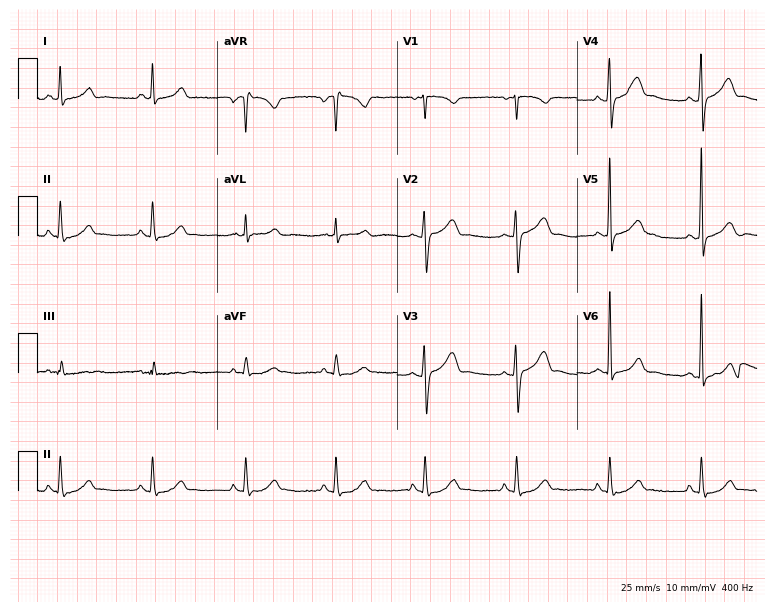
ECG — a 38-year-old woman. Labelled as a normal ECG.